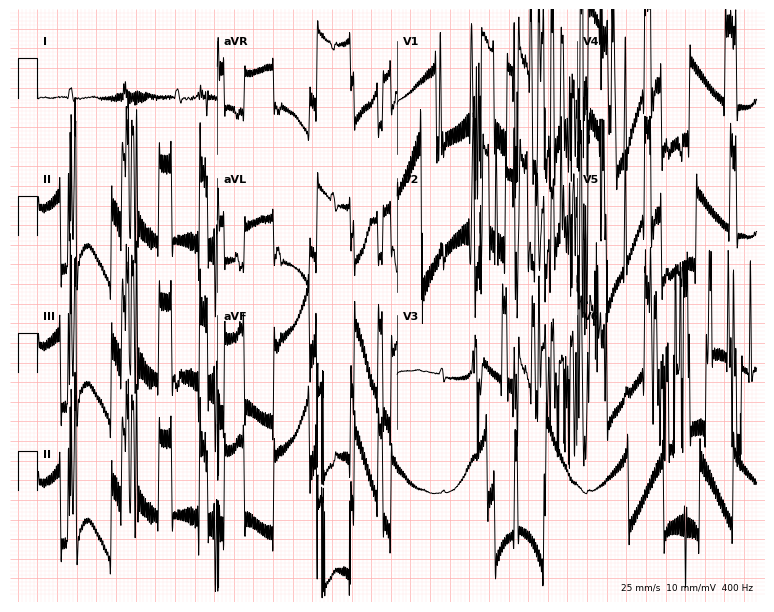
Electrocardiogram, a 75-year-old female. Of the six screened findings (first-degree AV block, right bundle branch block (RBBB), left bundle branch block (LBBB), sinus bradycardia, atrial fibrillation (AF), sinus tachycardia), none is recorded.